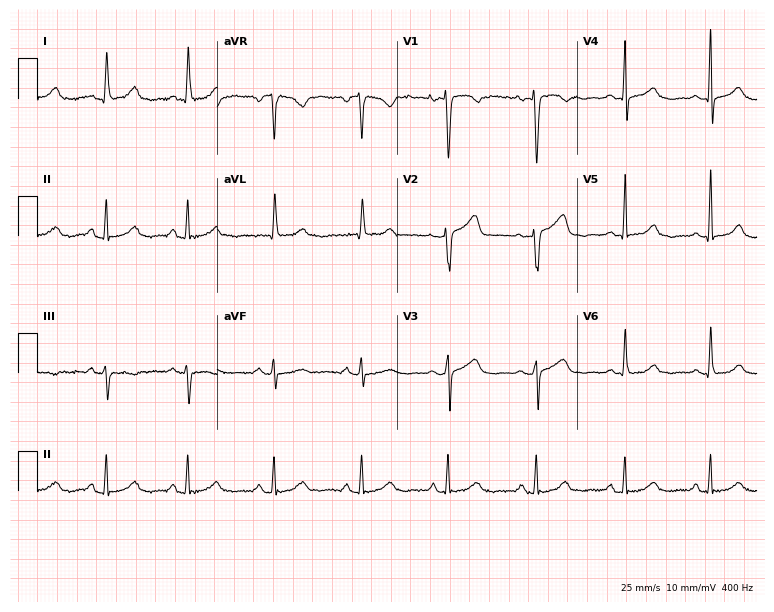
Electrocardiogram (7.3-second recording at 400 Hz), a female patient, 47 years old. Overall reading on record: normal ECG.